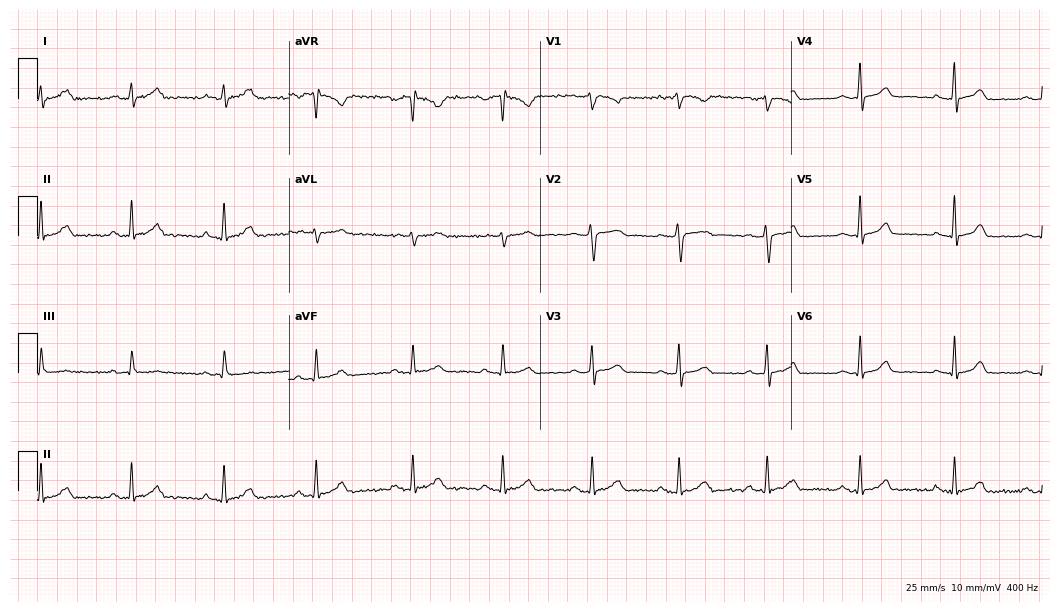
12-lead ECG (10.2-second recording at 400 Hz) from a female, 37 years old. Labelled as a normal ECG.